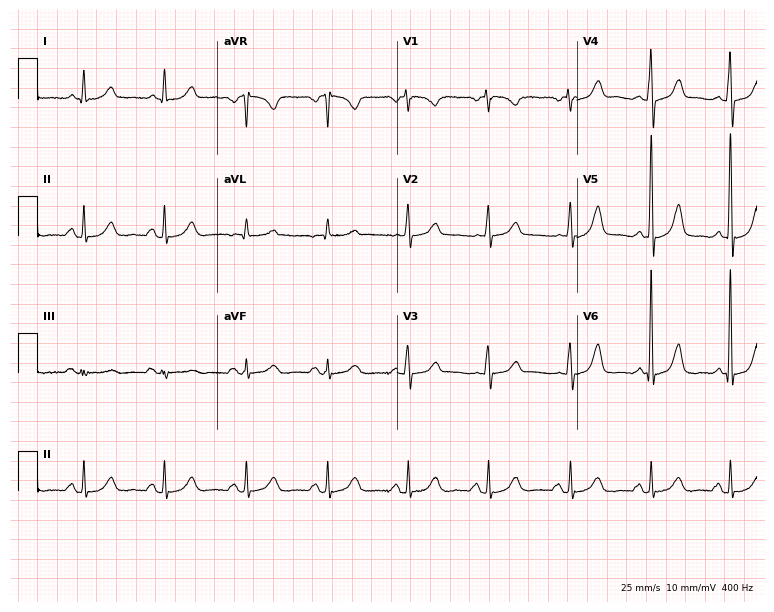
Resting 12-lead electrocardiogram (7.3-second recording at 400 Hz). Patient: a 67-year-old female. Read as a normal ECG.